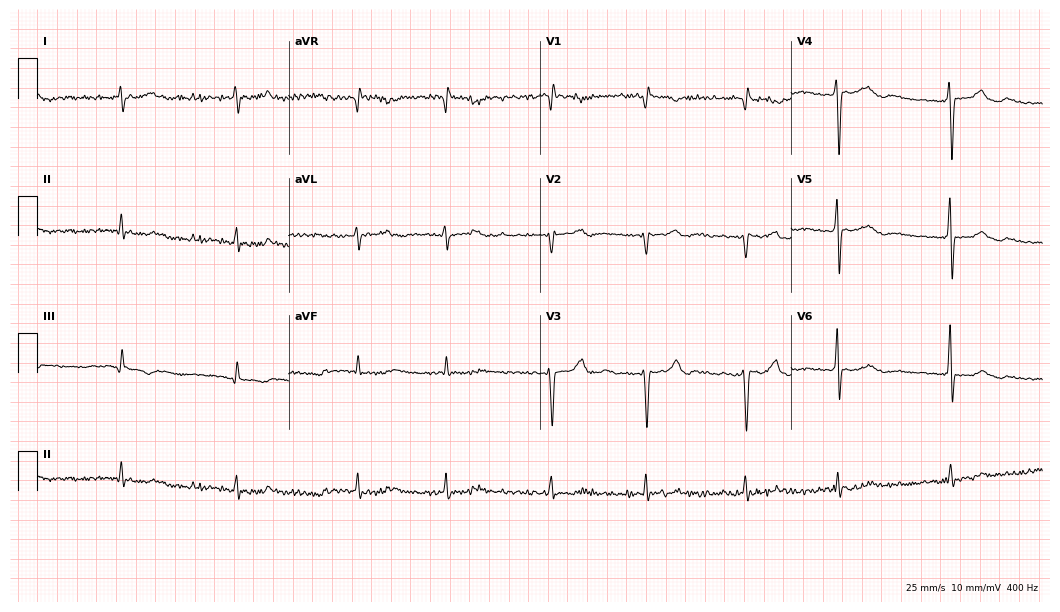
Standard 12-lead ECG recorded from a female patient, 51 years old (10.2-second recording at 400 Hz). The tracing shows atrial fibrillation.